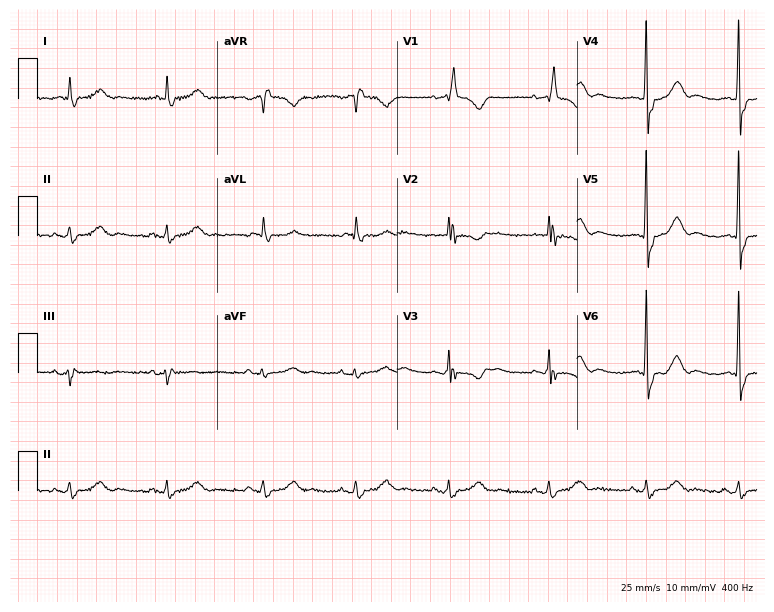
Standard 12-lead ECG recorded from a 75-year-old female. The tracing shows right bundle branch block.